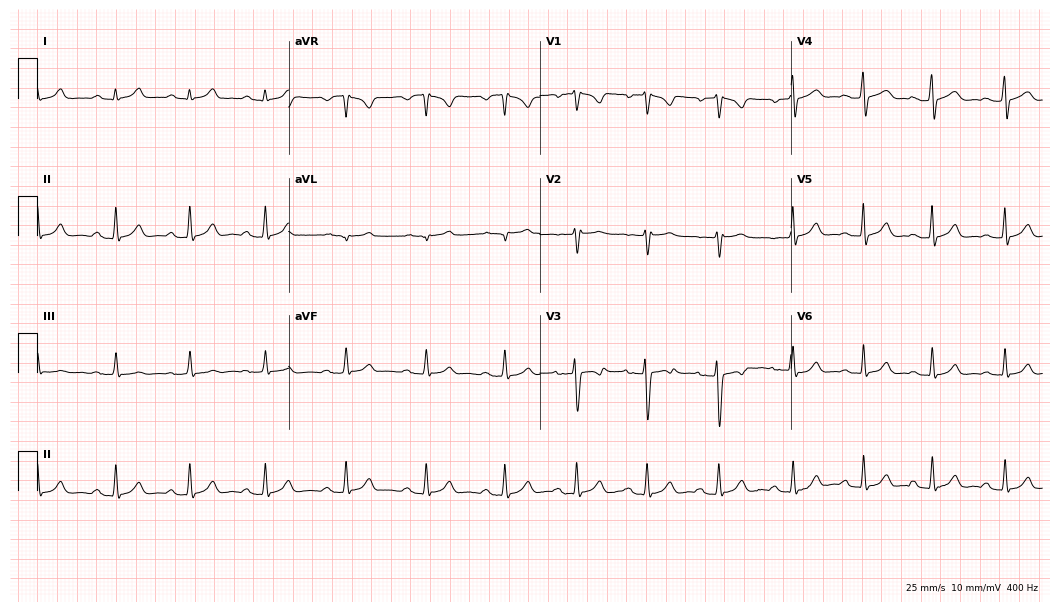
12-lead ECG from a 19-year-old female patient (10.2-second recording at 400 Hz). Recorded interpretation: within normal limits.